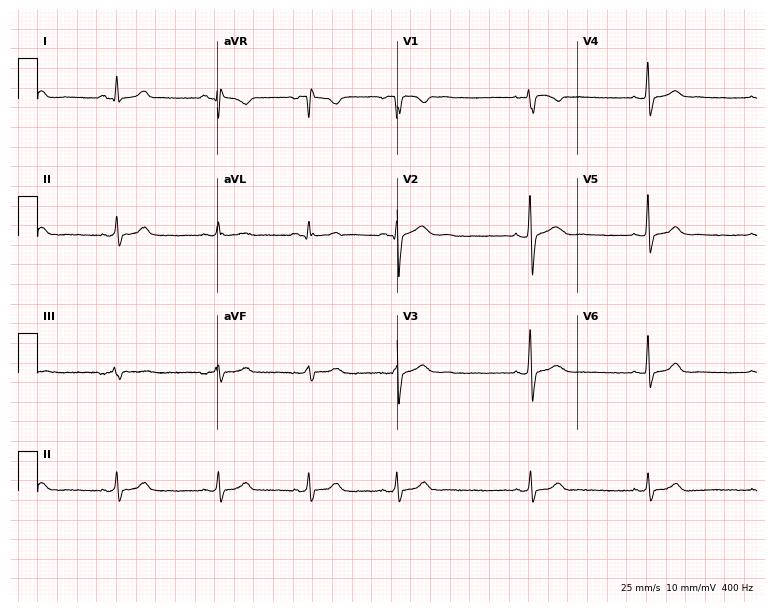
12-lead ECG from a female patient, 40 years old. Screened for six findings — first-degree AV block, right bundle branch block, left bundle branch block, sinus bradycardia, atrial fibrillation, sinus tachycardia — none is recorded.